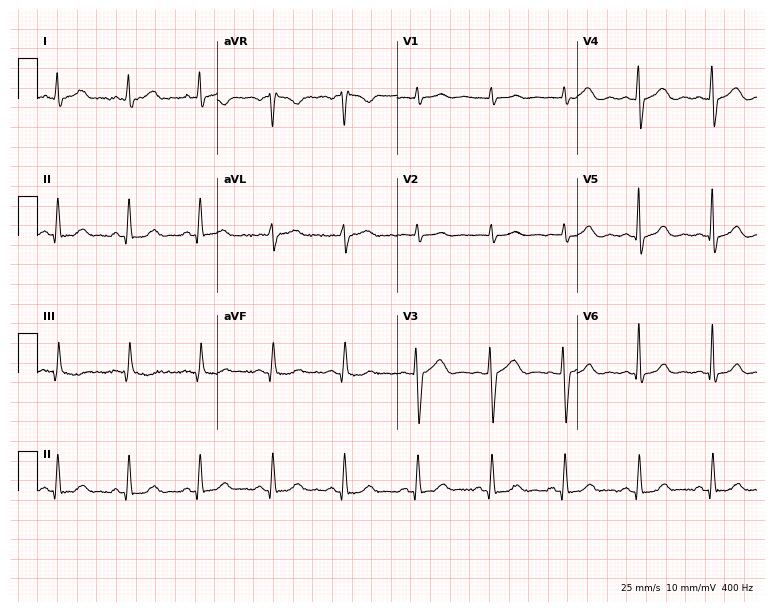
12-lead ECG from a 37-year-old male. No first-degree AV block, right bundle branch block, left bundle branch block, sinus bradycardia, atrial fibrillation or sinus tachycardia recorded for this tracing. Other findings, if any, are not listed.